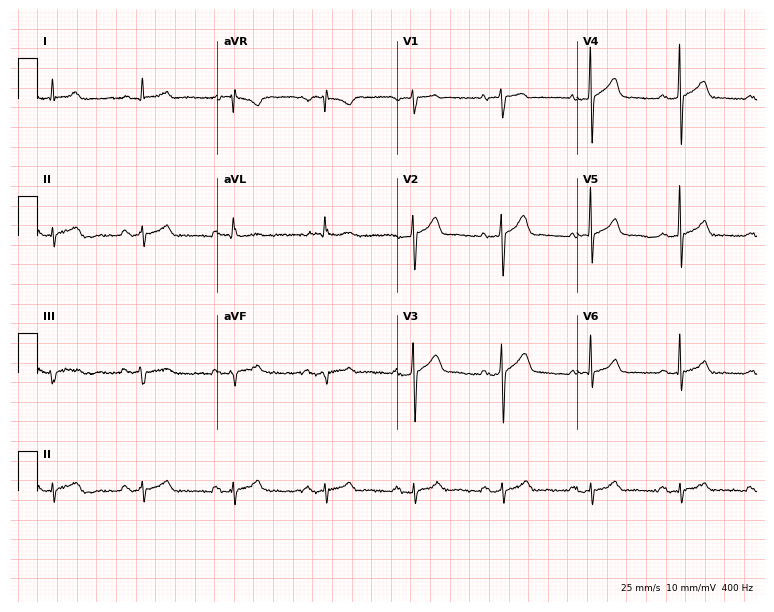
ECG — a male patient, 60 years old. Labelled as a normal ECG.